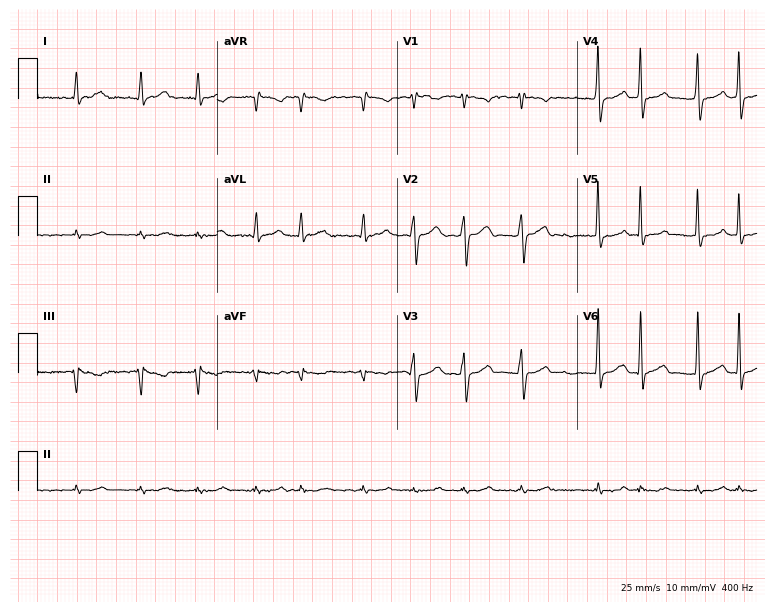
12-lead ECG (7.3-second recording at 400 Hz) from a 69-year-old male. Findings include atrial fibrillation.